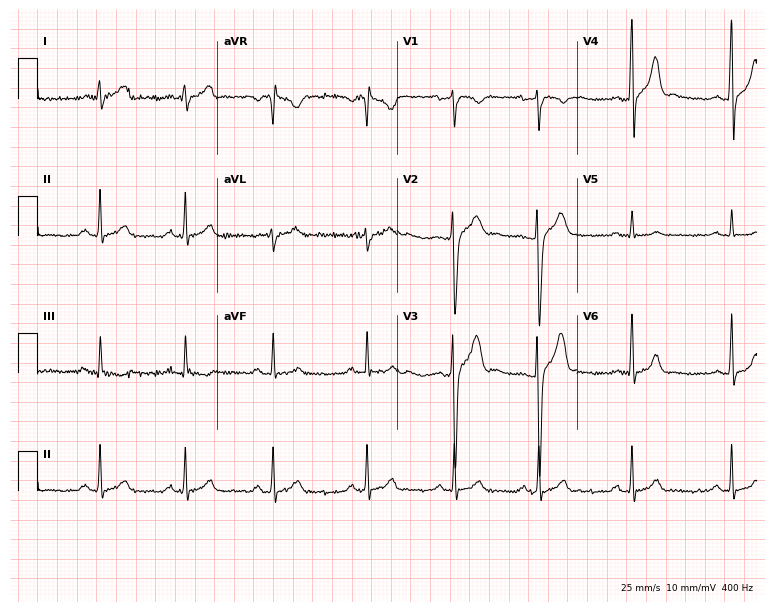
Standard 12-lead ECG recorded from a 27-year-old male. Read as a normal ECG.